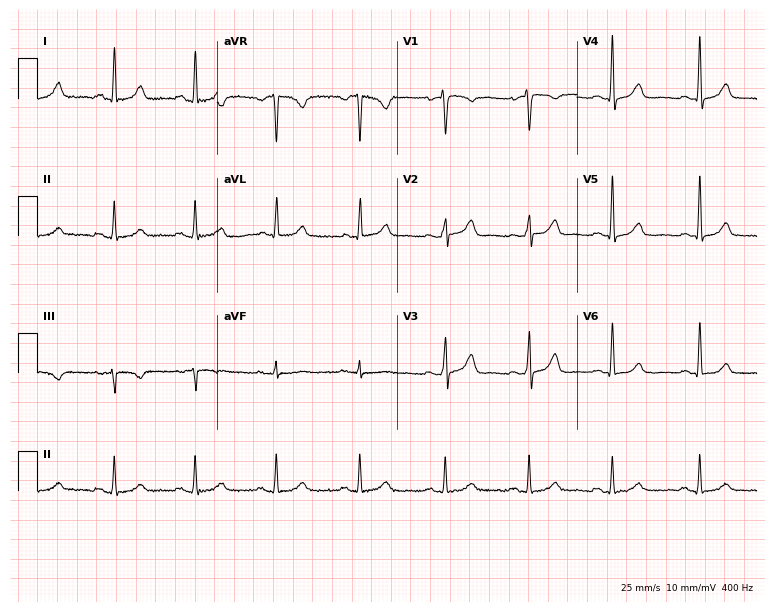
Standard 12-lead ECG recorded from a woman, 57 years old (7.3-second recording at 400 Hz). None of these six findings is recorded: first-degree AV block, right bundle branch block (RBBB), left bundle branch block (LBBB), sinus bradycardia, atrial fibrillation (AF), sinus tachycardia.